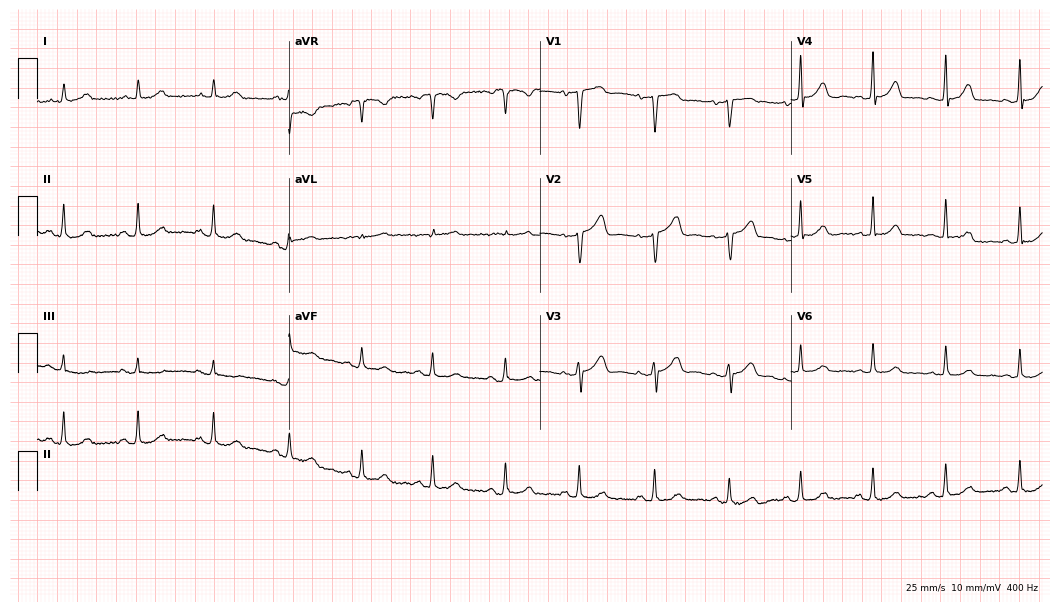
Standard 12-lead ECG recorded from a 67-year-old woman. Read as a normal ECG.